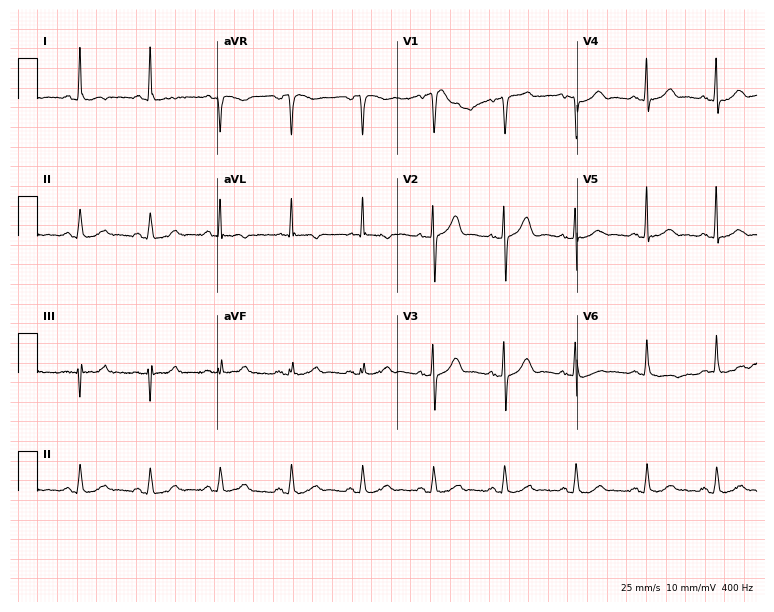
Standard 12-lead ECG recorded from a 65-year-old female (7.3-second recording at 400 Hz). None of these six findings is recorded: first-degree AV block, right bundle branch block (RBBB), left bundle branch block (LBBB), sinus bradycardia, atrial fibrillation (AF), sinus tachycardia.